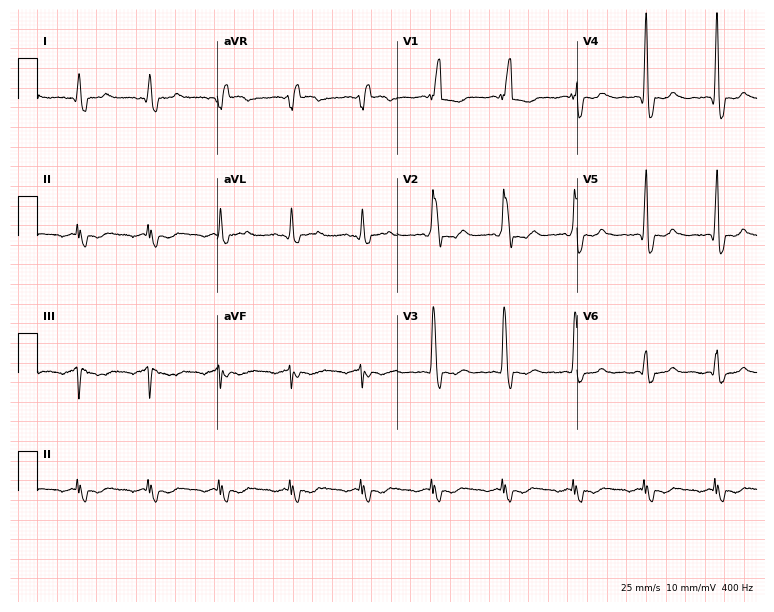
Standard 12-lead ECG recorded from an 85-year-old male patient (7.3-second recording at 400 Hz). None of these six findings is recorded: first-degree AV block, right bundle branch block (RBBB), left bundle branch block (LBBB), sinus bradycardia, atrial fibrillation (AF), sinus tachycardia. Only these six findings were labelled.